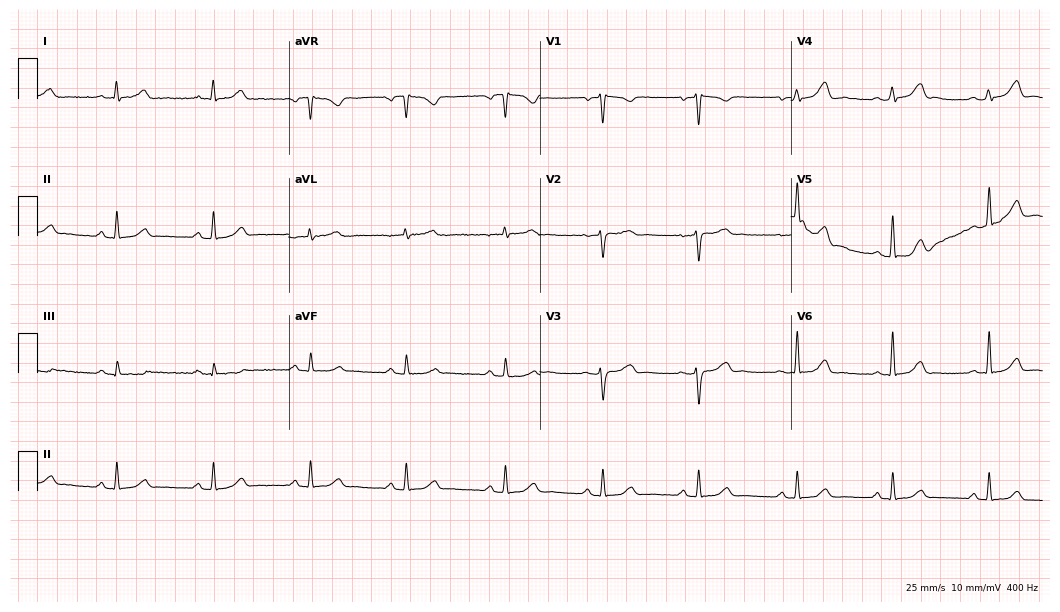
ECG — a woman, 42 years old. Labelled as a normal ECG.